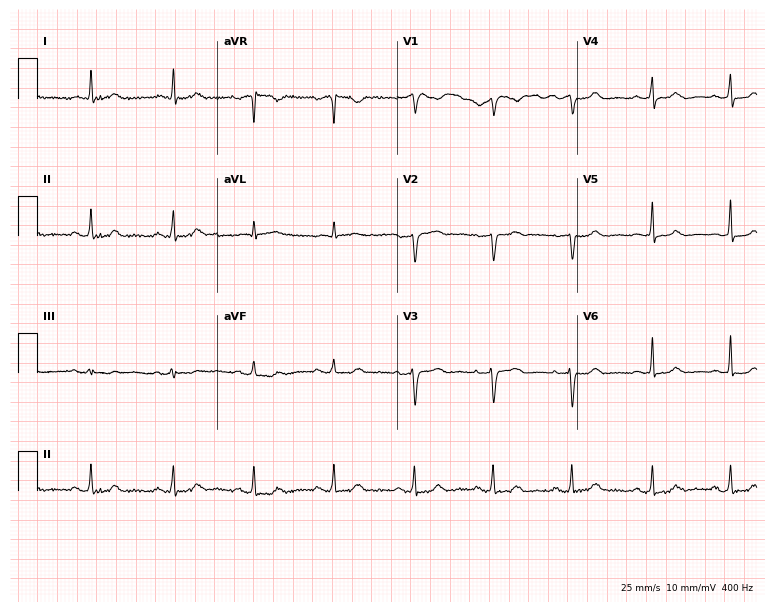
Resting 12-lead electrocardiogram (7.3-second recording at 400 Hz). Patient: a 69-year-old man. Read as a normal ECG.